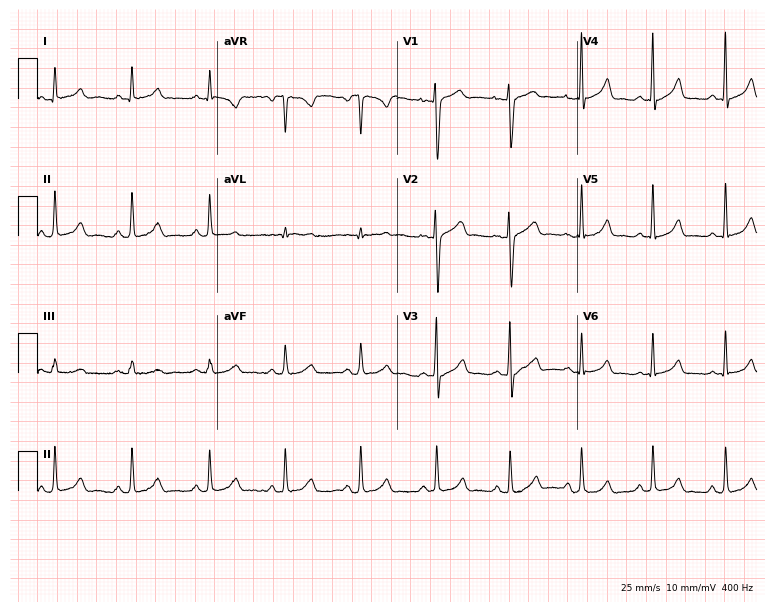
12-lead ECG from a 37-year-old woman. No first-degree AV block, right bundle branch block, left bundle branch block, sinus bradycardia, atrial fibrillation or sinus tachycardia recorded for this tracing. Only these six findings were labelled.